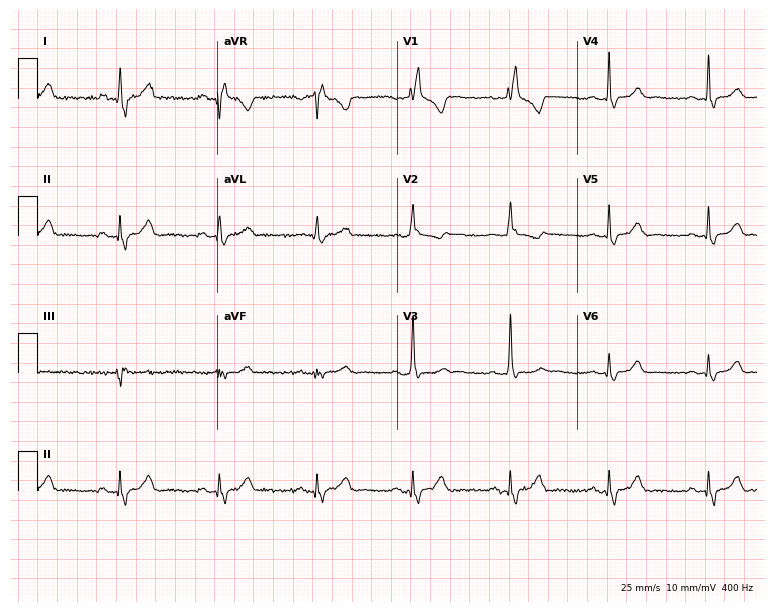
Standard 12-lead ECG recorded from a 53-year-old female (7.3-second recording at 400 Hz). The tracing shows right bundle branch block.